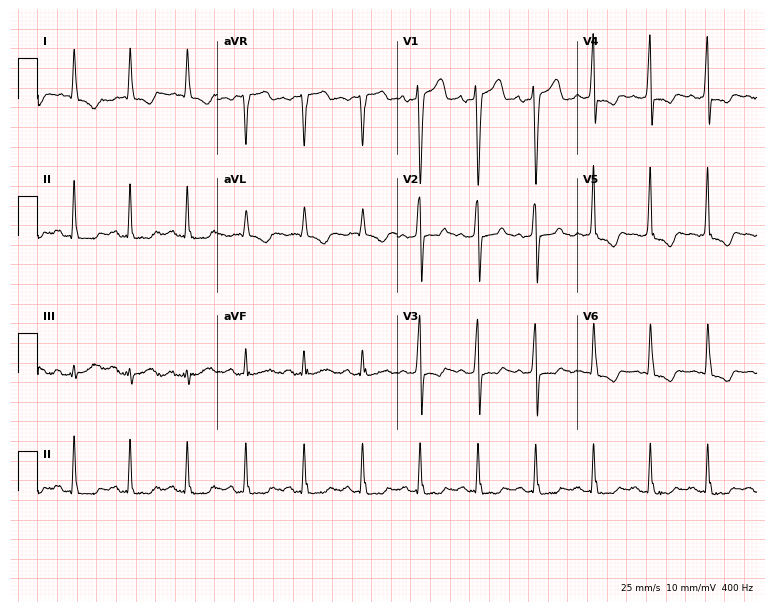
Standard 12-lead ECG recorded from a 58-year-old male (7.3-second recording at 400 Hz). None of these six findings is recorded: first-degree AV block, right bundle branch block (RBBB), left bundle branch block (LBBB), sinus bradycardia, atrial fibrillation (AF), sinus tachycardia.